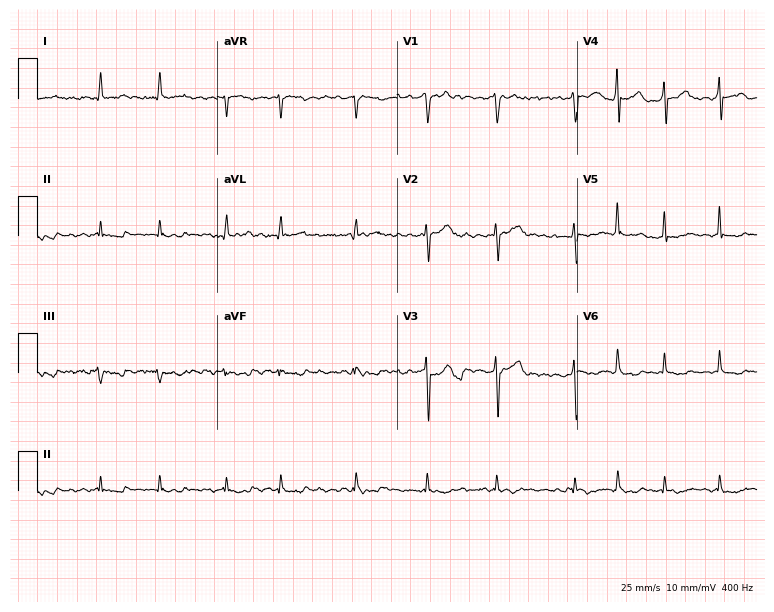
12-lead ECG (7.3-second recording at 400 Hz) from a male, 63 years old. Findings include atrial fibrillation (AF).